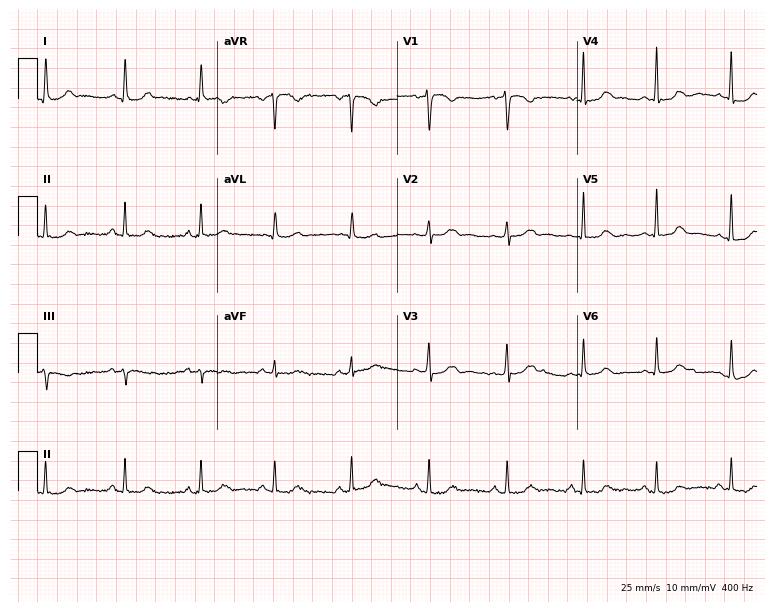
12-lead ECG from a 49-year-old woman. Screened for six findings — first-degree AV block, right bundle branch block, left bundle branch block, sinus bradycardia, atrial fibrillation, sinus tachycardia — none is recorded.